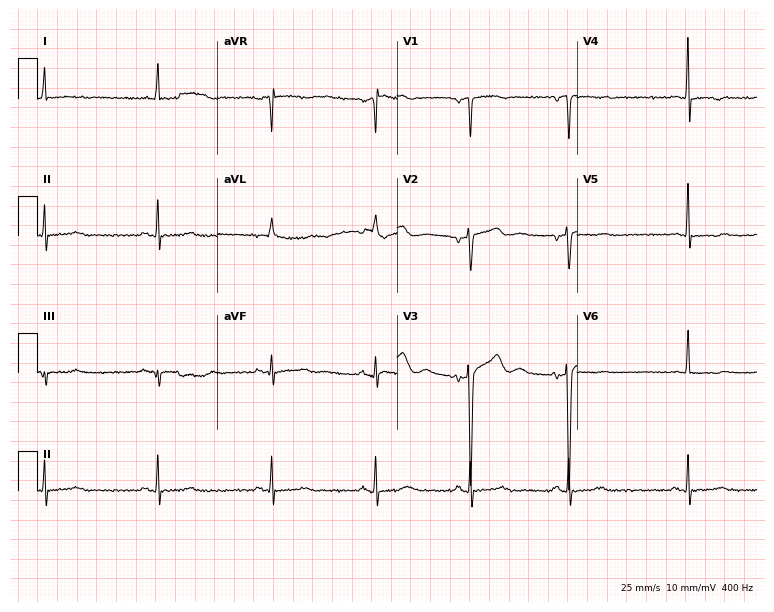
Electrocardiogram, a female patient, 38 years old. Of the six screened findings (first-degree AV block, right bundle branch block, left bundle branch block, sinus bradycardia, atrial fibrillation, sinus tachycardia), none is recorded.